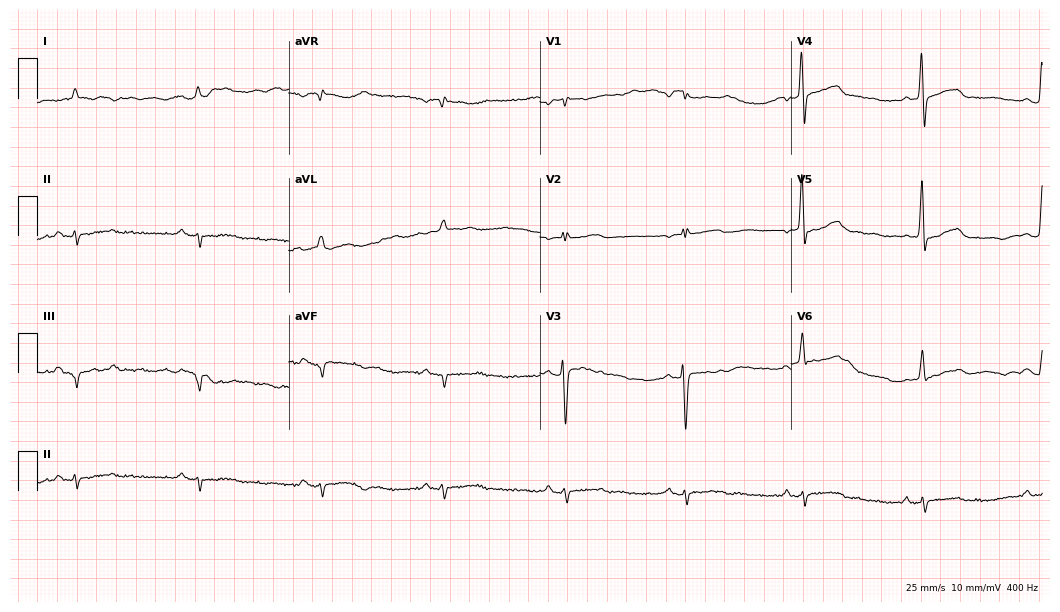
ECG — a 77-year-old man. Findings include sinus bradycardia (a sinus rate of 50 beats per minute or less).